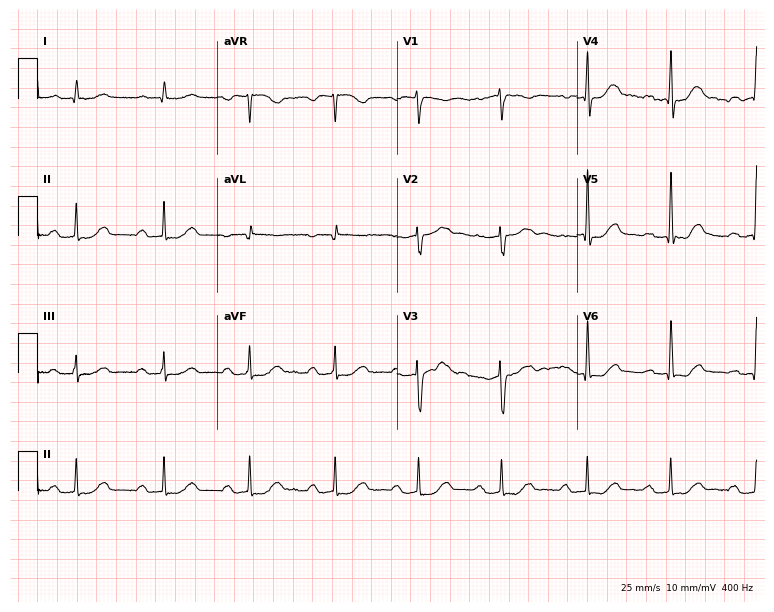
Resting 12-lead electrocardiogram. Patient: a man, 75 years old. The tracing shows first-degree AV block.